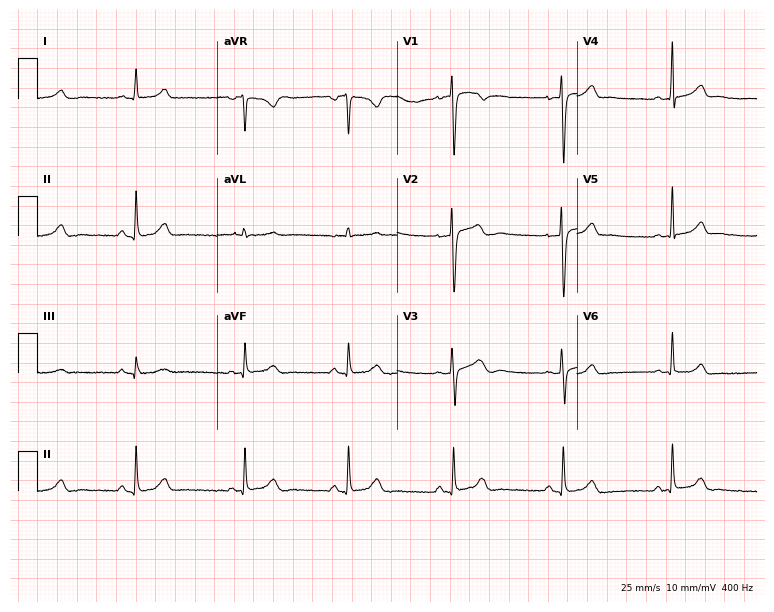
12-lead ECG from a 26-year-old woman. Labelled as a normal ECG.